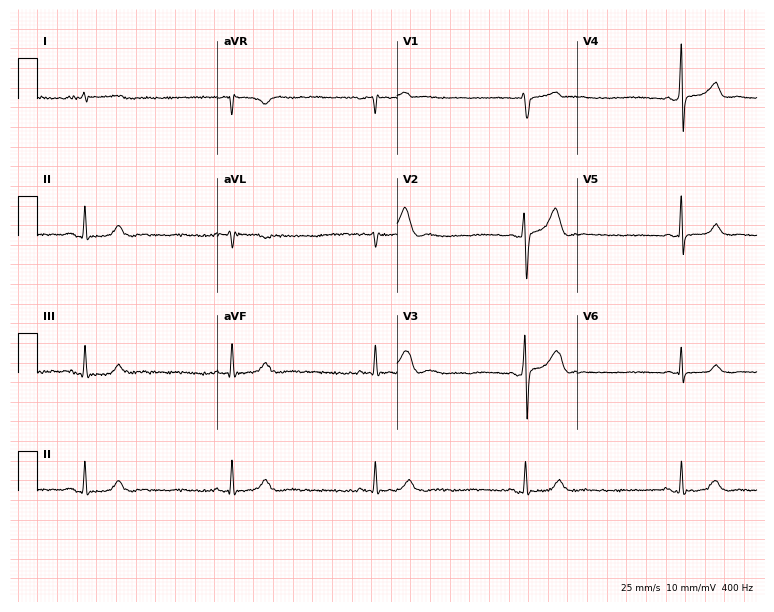
Standard 12-lead ECG recorded from a male, 48 years old. The tracing shows sinus bradycardia (a sinus rate of 50 beats per minute or less).